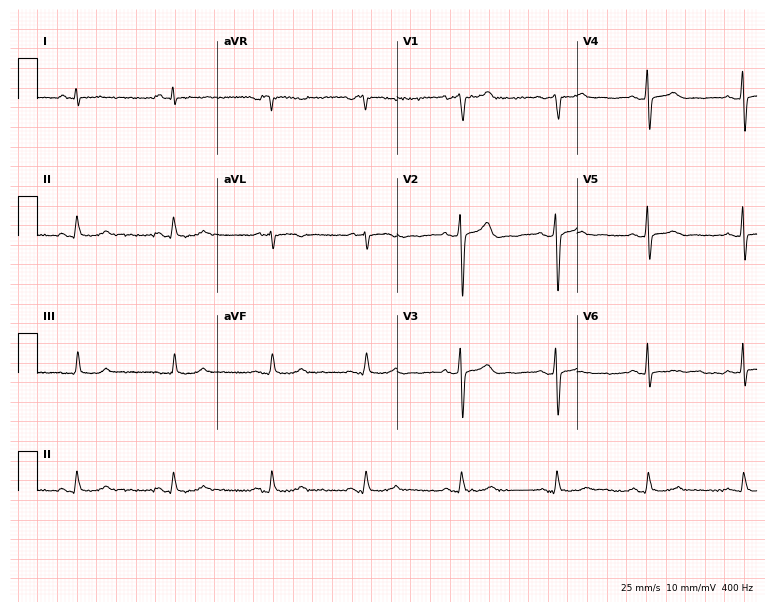
12-lead ECG from a man, 55 years old (7.3-second recording at 400 Hz). No first-degree AV block, right bundle branch block, left bundle branch block, sinus bradycardia, atrial fibrillation or sinus tachycardia recorded for this tracing. Other findings, if any, are not listed.